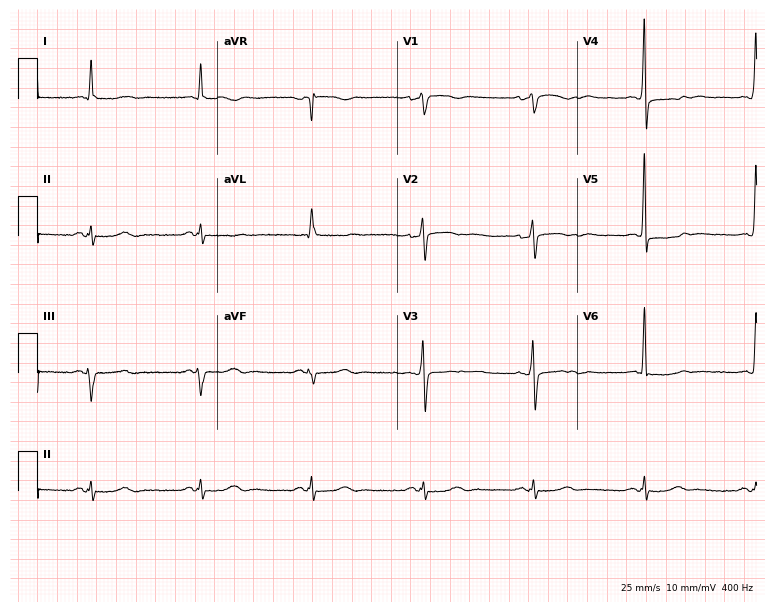
12-lead ECG from an 81-year-old male patient. Screened for six findings — first-degree AV block, right bundle branch block, left bundle branch block, sinus bradycardia, atrial fibrillation, sinus tachycardia — none is recorded.